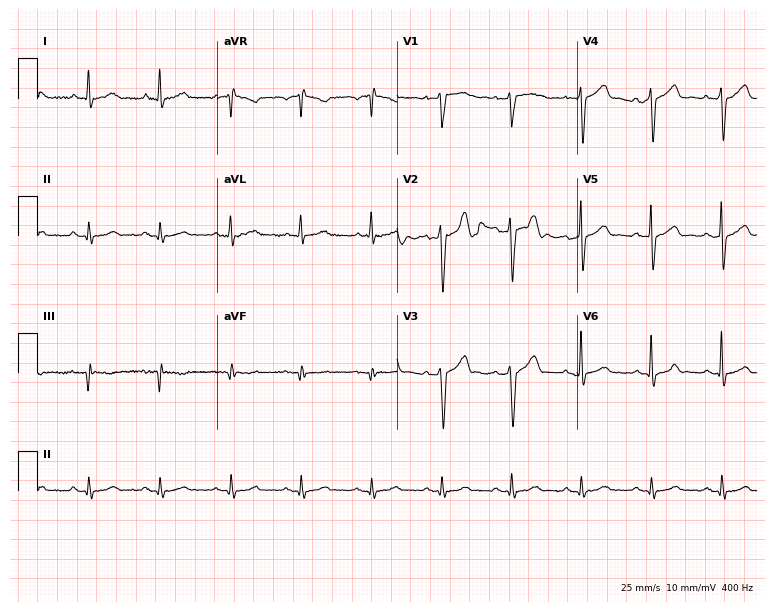
Standard 12-lead ECG recorded from a male, 64 years old (7.3-second recording at 400 Hz). None of these six findings is recorded: first-degree AV block, right bundle branch block, left bundle branch block, sinus bradycardia, atrial fibrillation, sinus tachycardia. Only these six findings were labelled.